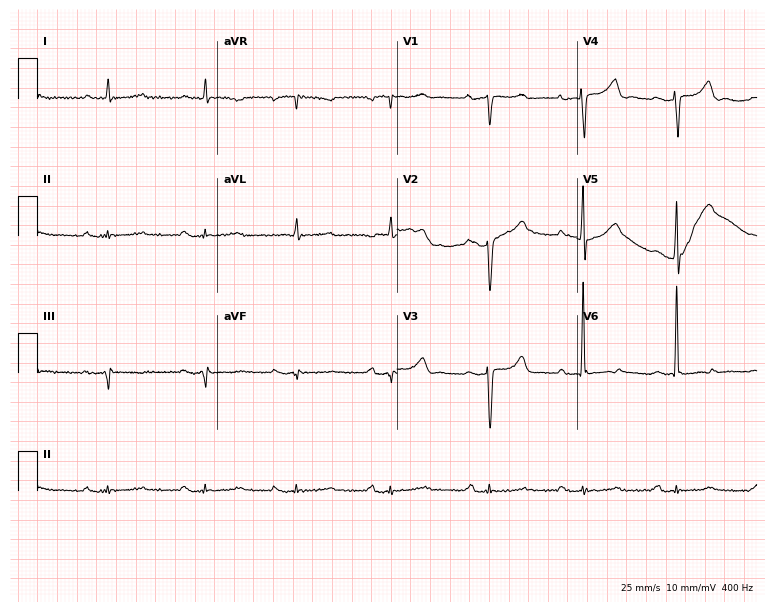
12-lead ECG from an 80-year-old female. Screened for six findings — first-degree AV block, right bundle branch block, left bundle branch block, sinus bradycardia, atrial fibrillation, sinus tachycardia — none is recorded.